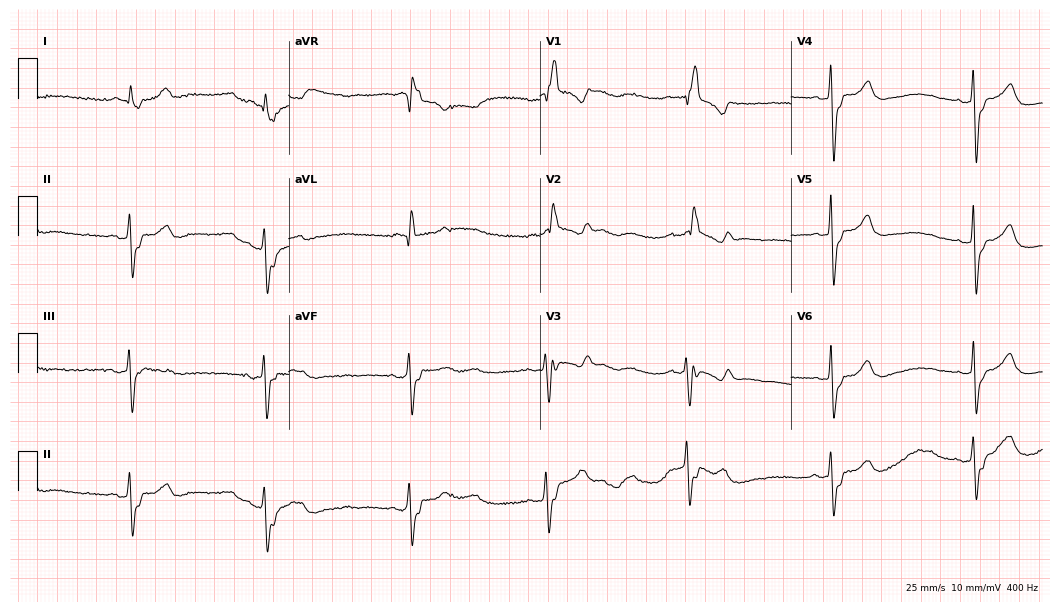
ECG — a 79-year-old female. Findings include sinus bradycardia (a sinus rate of 50 beats per minute or less).